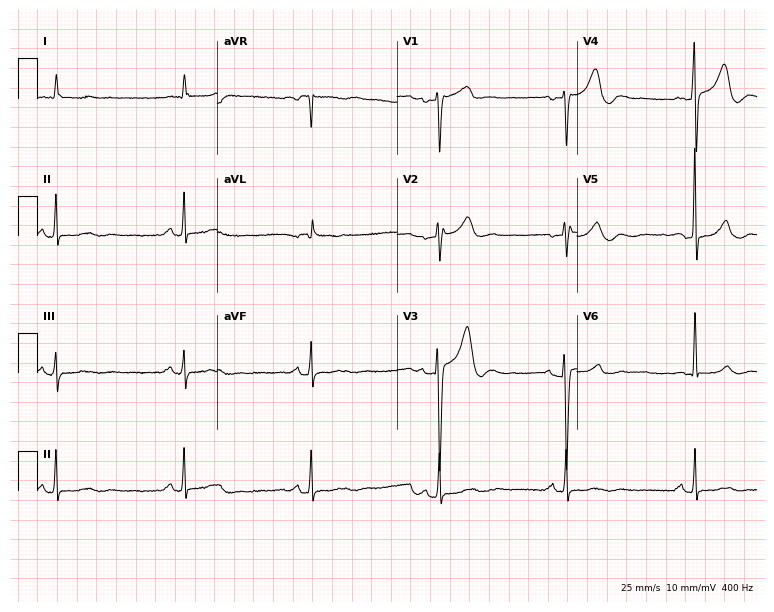
12-lead ECG from a male patient, 78 years old. No first-degree AV block, right bundle branch block (RBBB), left bundle branch block (LBBB), sinus bradycardia, atrial fibrillation (AF) or sinus tachycardia recorded for this tracing.